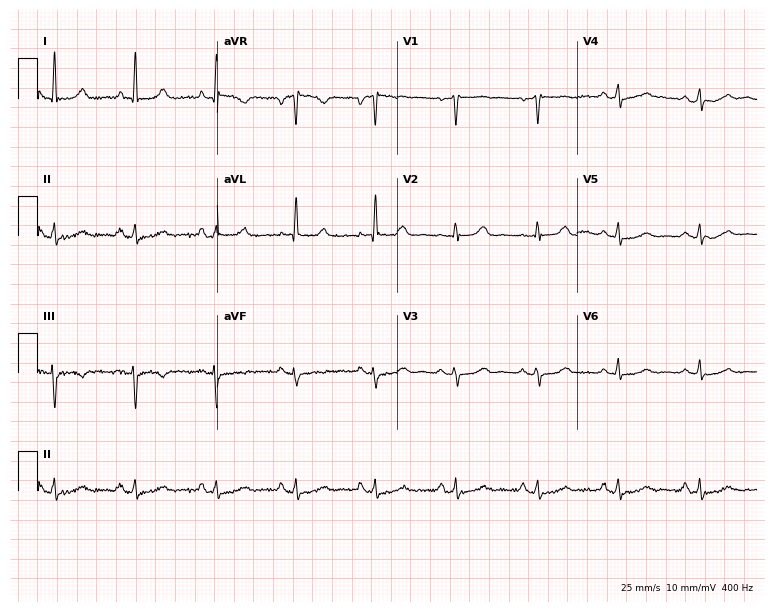
Electrocardiogram (7.3-second recording at 400 Hz), a female patient, 61 years old. Of the six screened findings (first-degree AV block, right bundle branch block (RBBB), left bundle branch block (LBBB), sinus bradycardia, atrial fibrillation (AF), sinus tachycardia), none is recorded.